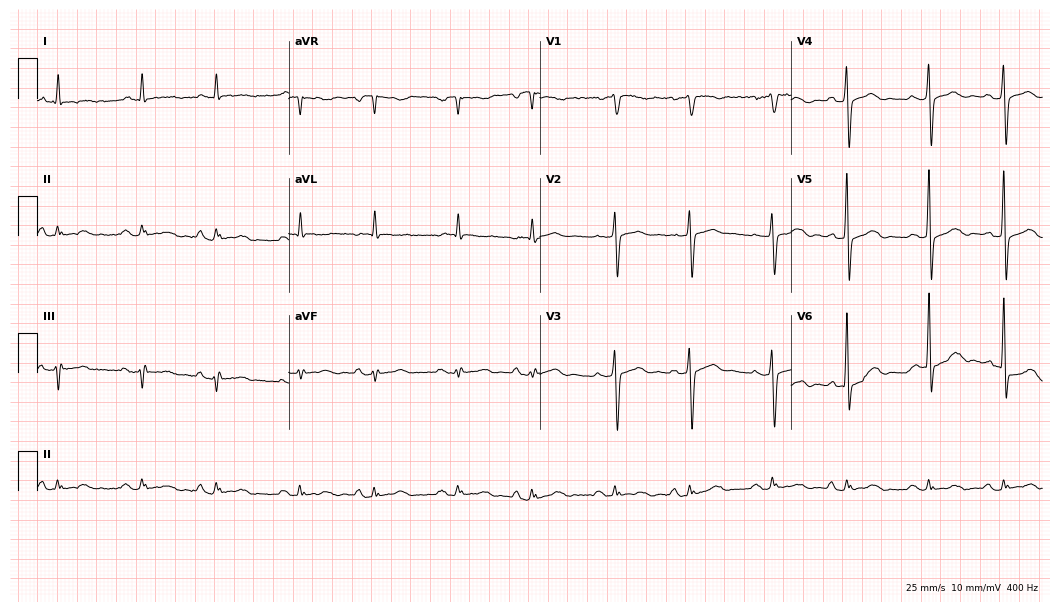
12-lead ECG (10.2-second recording at 400 Hz) from a male, 84 years old. Screened for six findings — first-degree AV block, right bundle branch block, left bundle branch block, sinus bradycardia, atrial fibrillation, sinus tachycardia — none is recorded. Other findings, if any, are not listed.